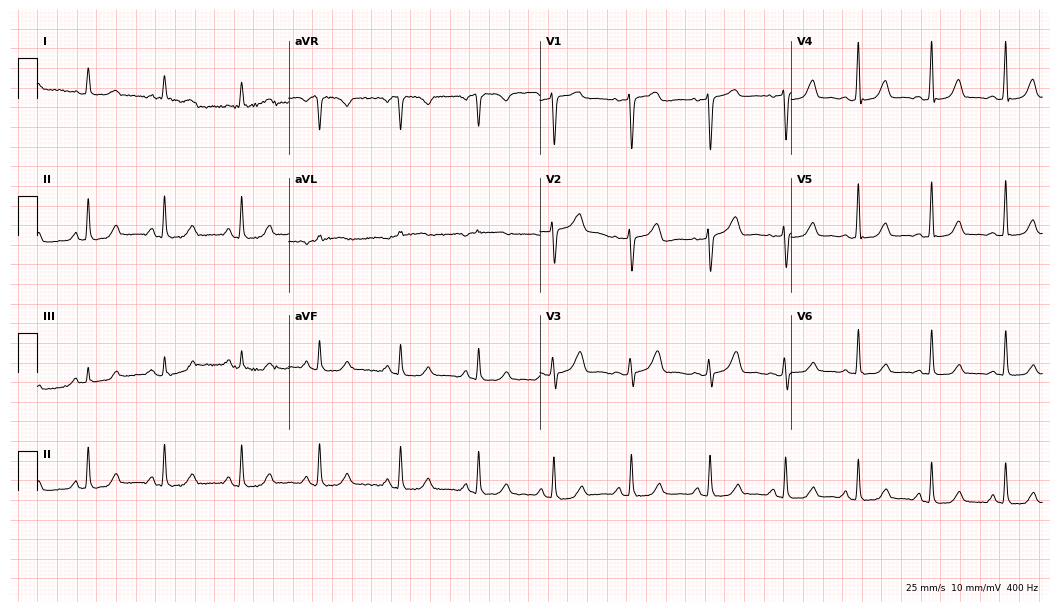
12-lead ECG from a 59-year-old woman (10.2-second recording at 400 Hz). Recorded interpretation: within normal limits.